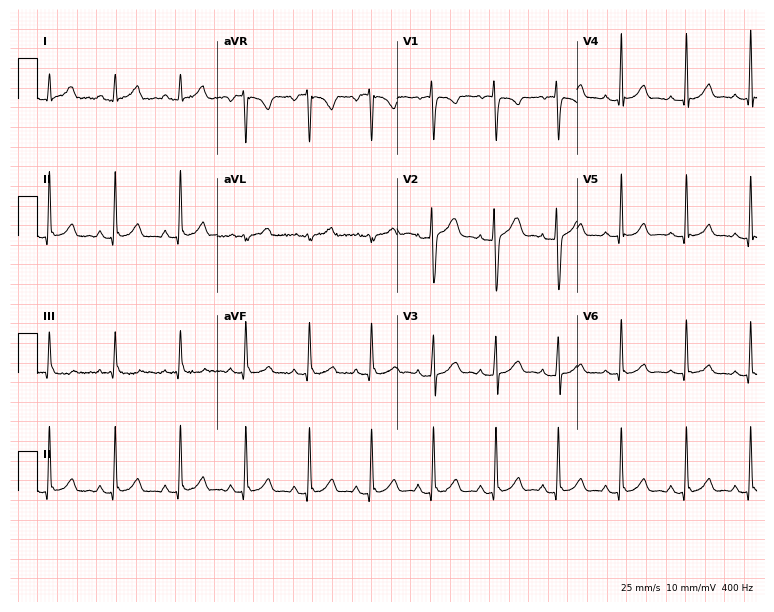
Resting 12-lead electrocardiogram. Patient: a 22-year-old female. None of these six findings is recorded: first-degree AV block, right bundle branch block (RBBB), left bundle branch block (LBBB), sinus bradycardia, atrial fibrillation (AF), sinus tachycardia. Other findings, if any, are not listed.